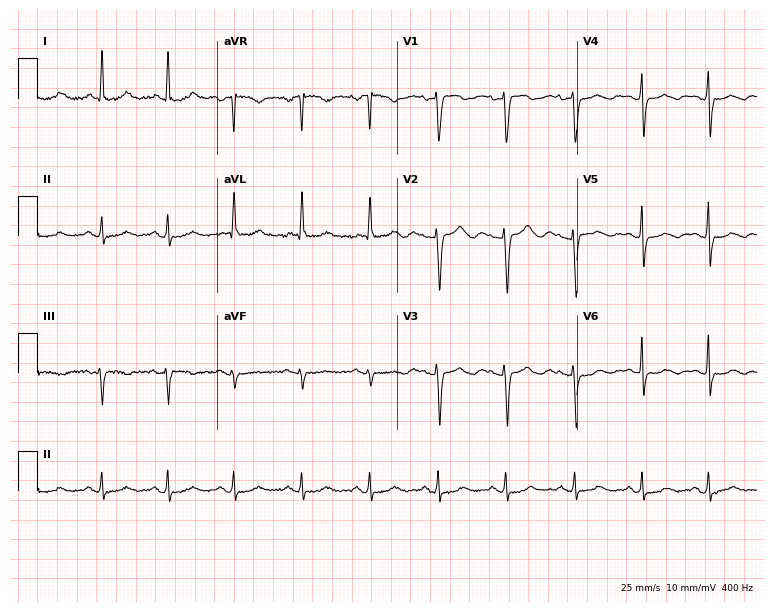
12-lead ECG from a 59-year-old woman. Recorded interpretation: within normal limits.